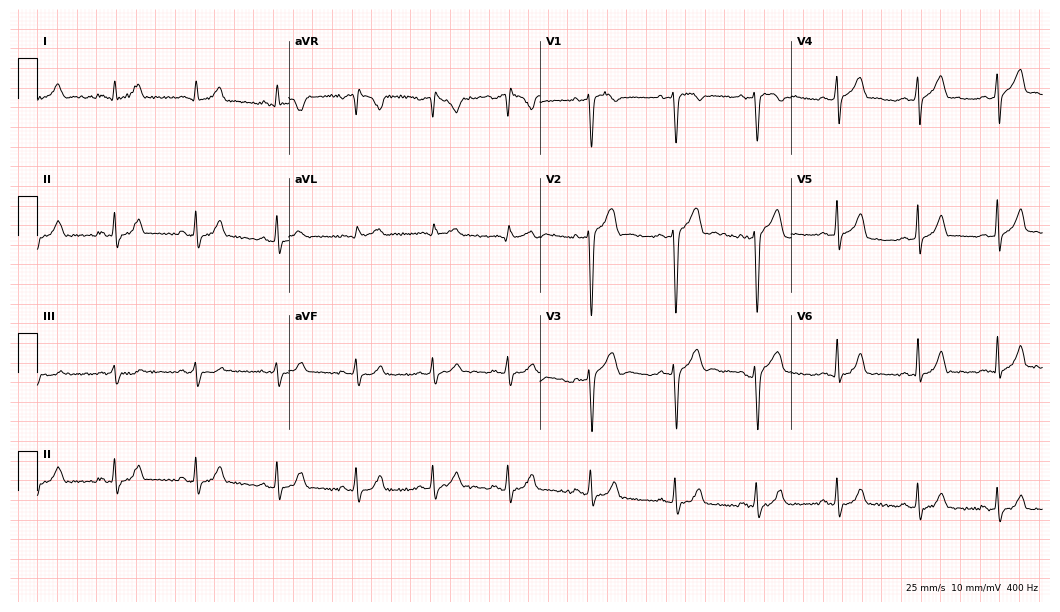
12-lead ECG from a male, 21 years old. Labelled as a normal ECG.